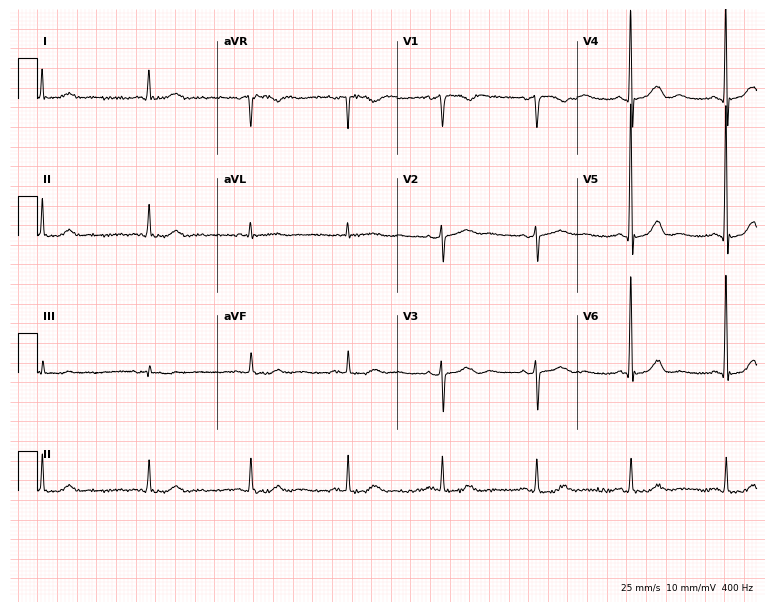
Standard 12-lead ECG recorded from a female patient, 80 years old (7.3-second recording at 400 Hz). None of these six findings is recorded: first-degree AV block, right bundle branch block (RBBB), left bundle branch block (LBBB), sinus bradycardia, atrial fibrillation (AF), sinus tachycardia. Other findings, if any, are not listed.